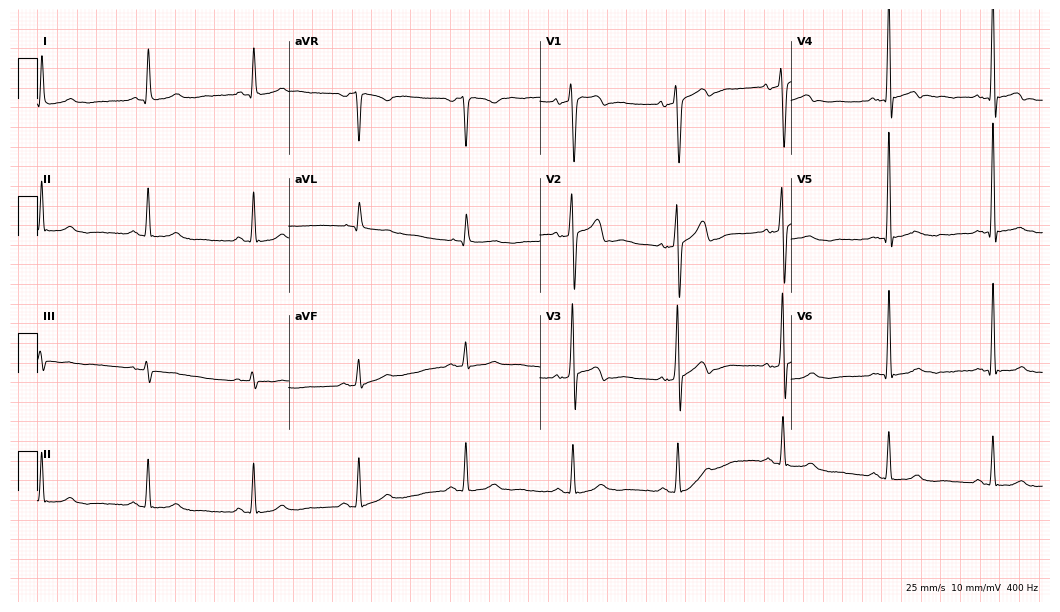
12-lead ECG (10.2-second recording at 400 Hz) from a male, 66 years old. Labelled as a normal ECG.